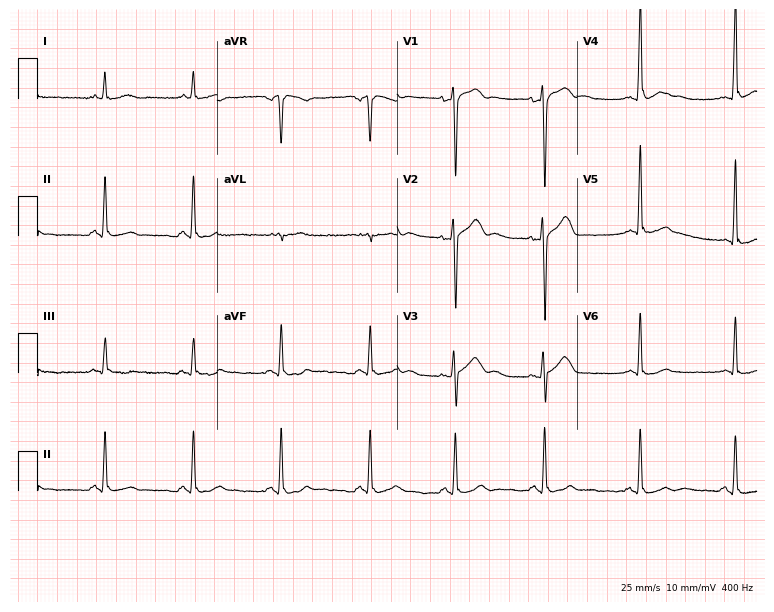
Resting 12-lead electrocardiogram (7.3-second recording at 400 Hz). Patient: a 22-year-old male. Read as a normal ECG.